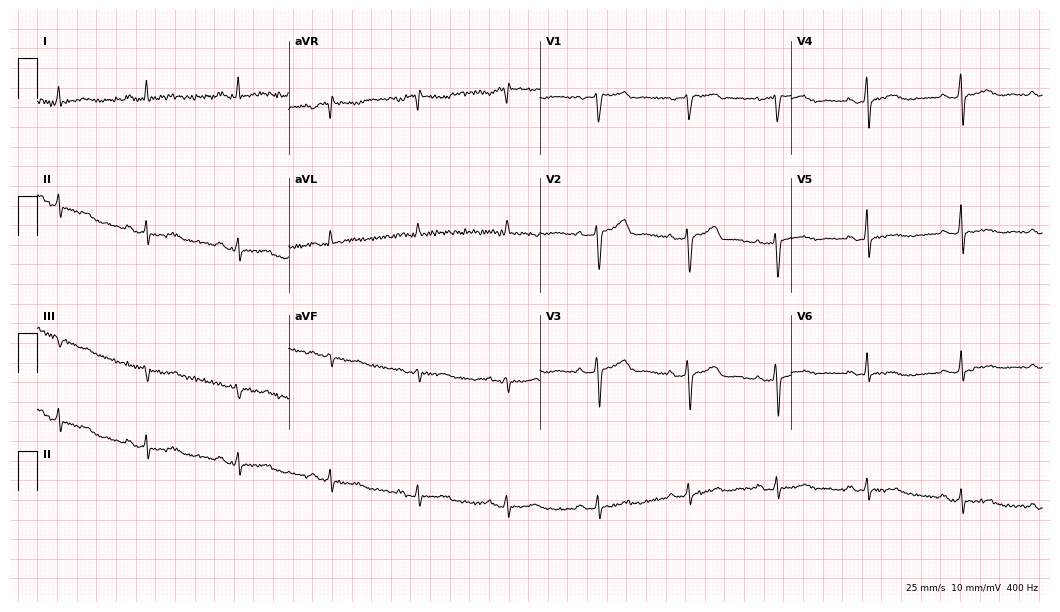
Standard 12-lead ECG recorded from a female patient, 50 years old (10.2-second recording at 400 Hz). None of these six findings is recorded: first-degree AV block, right bundle branch block (RBBB), left bundle branch block (LBBB), sinus bradycardia, atrial fibrillation (AF), sinus tachycardia.